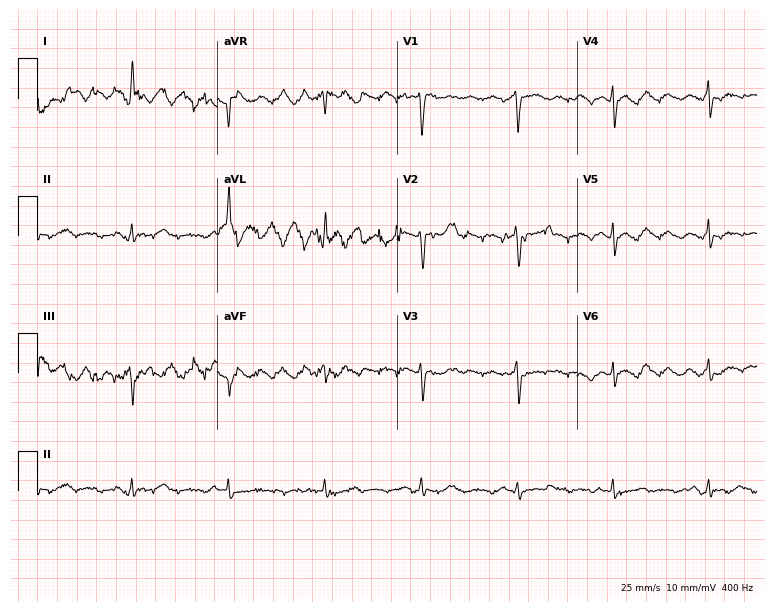
12-lead ECG (7.3-second recording at 400 Hz) from a woman, 82 years old. Screened for six findings — first-degree AV block, right bundle branch block, left bundle branch block, sinus bradycardia, atrial fibrillation, sinus tachycardia — none is recorded. Other findings, if any, are not listed.